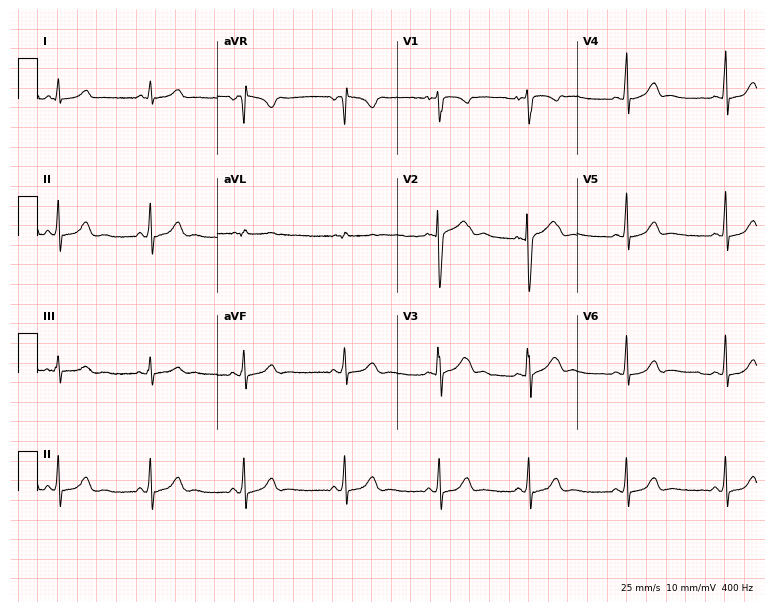
ECG — a 23-year-old female patient. Labelled as a normal ECG.